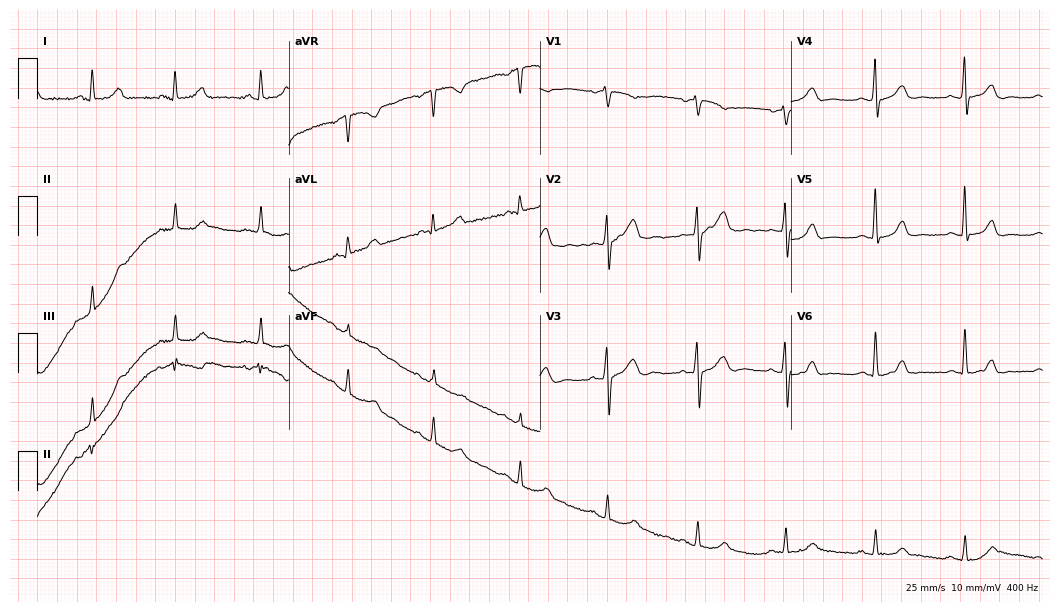
ECG (10.2-second recording at 400 Hz) — a 59-year-old female patient. Labelled as a normal ECG.